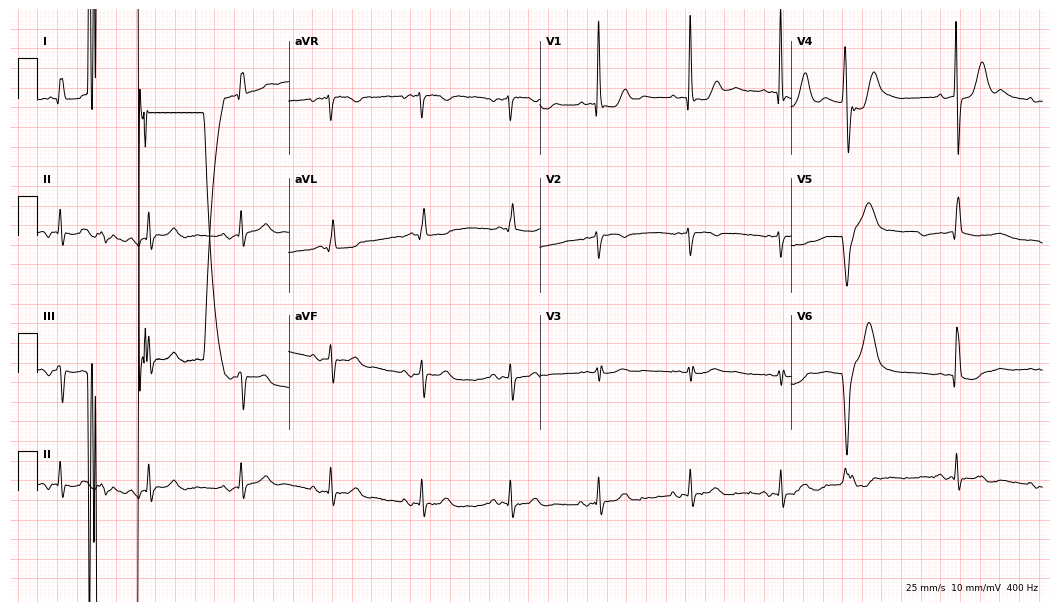
Standard 12-lead ECG recorded from a 76-year-old female patient (10.2-second recording at 400 Hz). None of these six findings is recorded: first-degree AV block, right bundle branch block, left bundle branch block, sinus bradycardia, atrial fibrillation, sinus tachycardia.